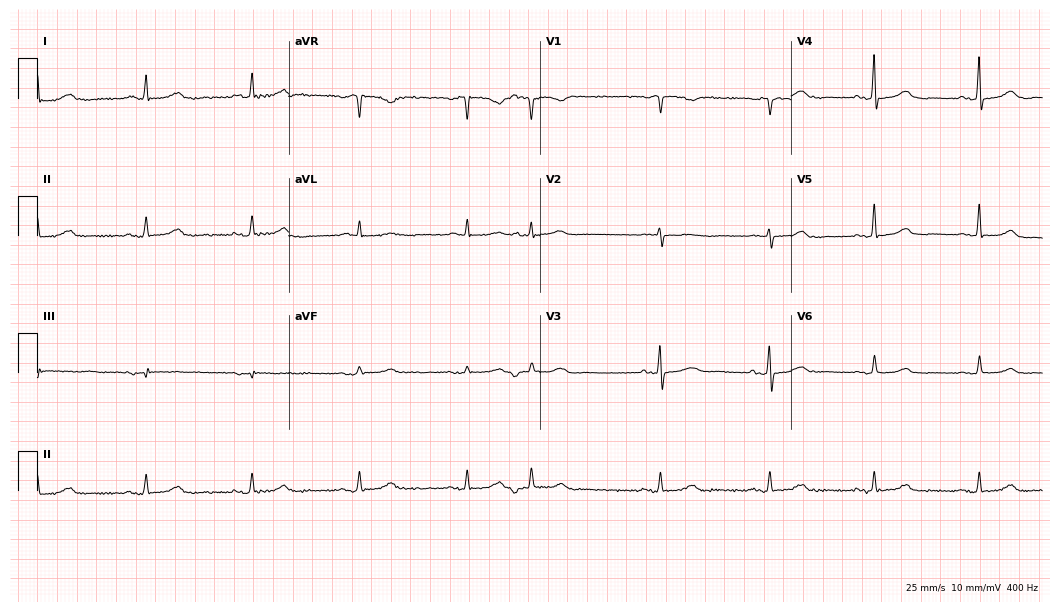
12-lead ECG (10.2-second recording at 400 Hz) from a 75-year-old woman. Screened for six findings — first-degree AV block, right bundle branch block (RBBB), left bundle branch block (LBBB), sinus bradycardia, atrial fibrillation (AF), sinus tachycardia — none is recorded. Other findings, if any, are not listed.